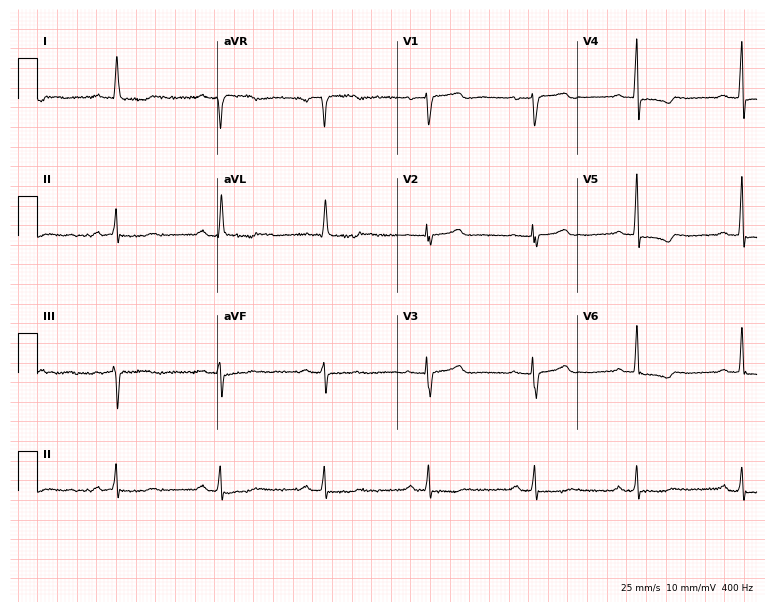
Resting 12-lead electrocardiogram (7.3-second recording at 400 Hz). Patient: a 56-year-old female. None of these six findings is recorded: first-degree AV block, right bundle branch block, left bundle branch block, sinus bradycardia, atrial fibrillation, sinus tachycardia. Other findings, if any, are not listed.